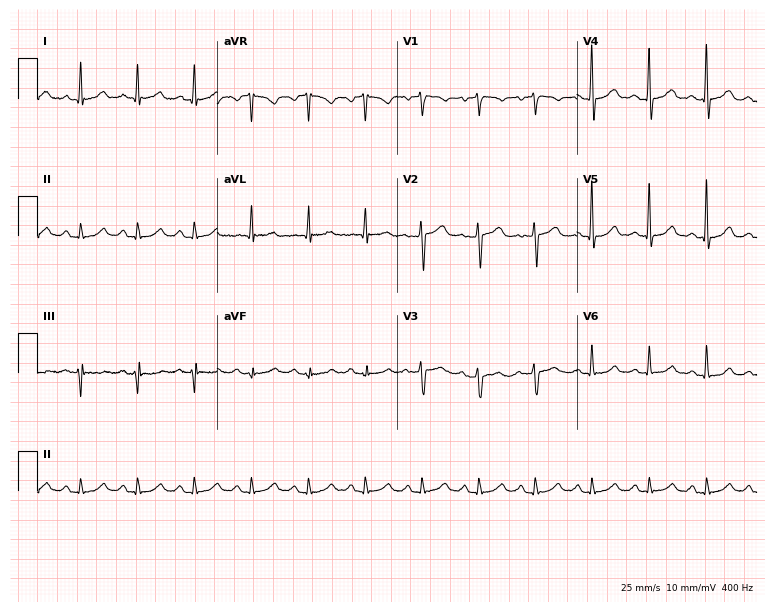
Electrocardiogram (7.3-second recording at 400 Hz), a 56-year-old female. Interpretation includes sinus tachycardia (a sinus rate of 100 beats per minute or more).